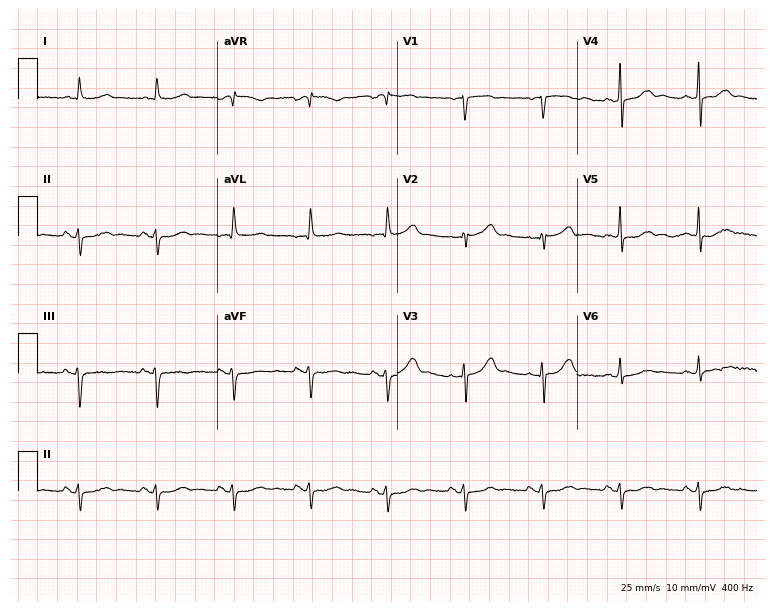
Resting 12-lead electrocardiogram (7.3-second recording at 400 Hz). Patient: a man, 77 years old. None of these six findings is recorded: first-degree AV block, right bundle branch block, left bundle branch block, sinus bradycardia, atrial fibrillation, sinus tachycardia.